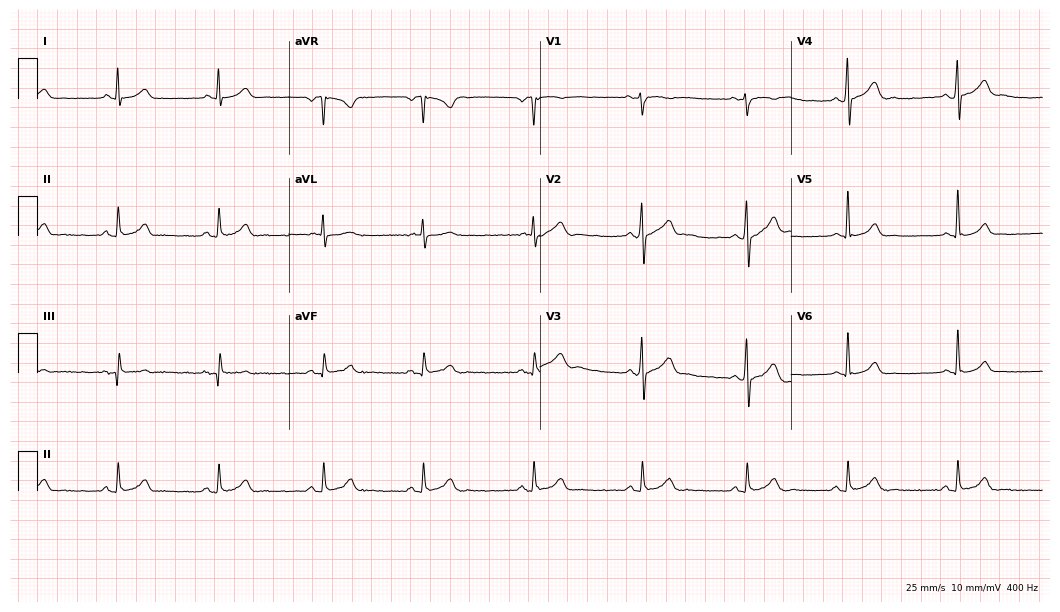
Resting 12-lead electrocardiogram (10.2-second recording at 400 Hz). Patient: a male, 30 years old. Read as a normal ECG.